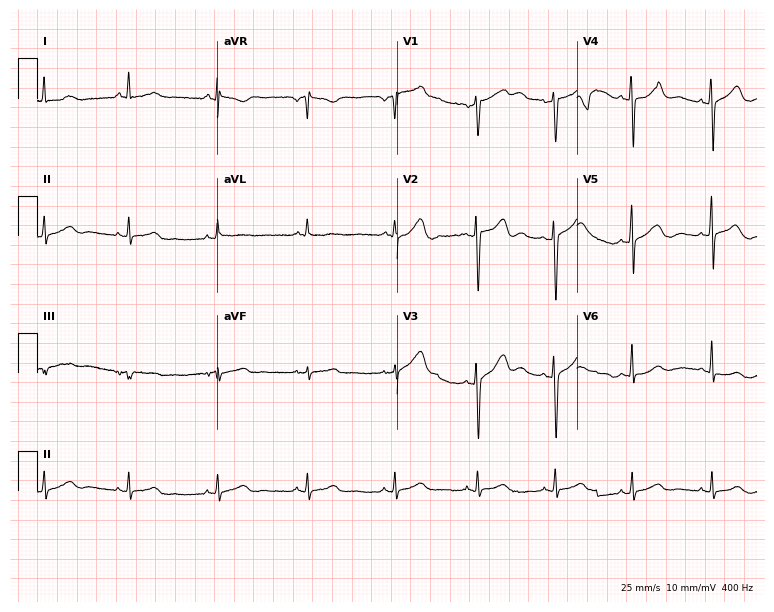
12-lead ECG from a 50-year-old female (7.3-second recording at 400 Hz). Recorded interpretation: within normal limits.